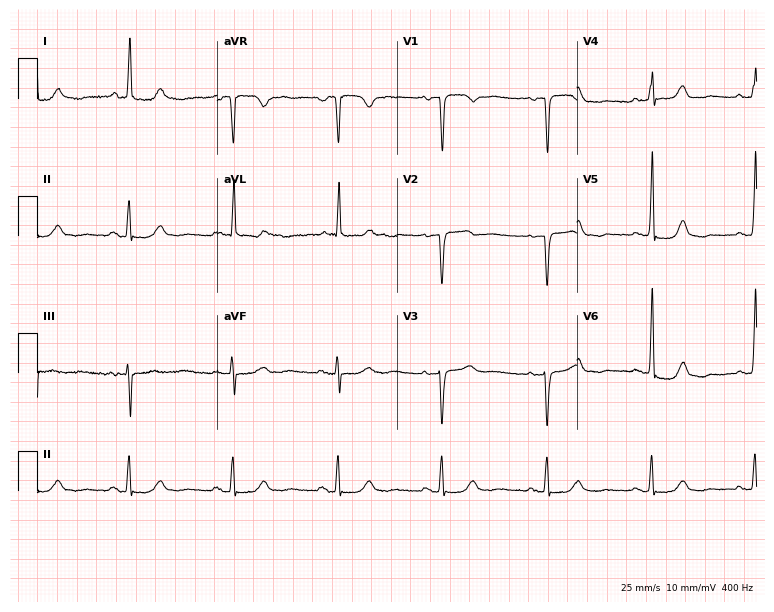
12-lead ECG (7.3-second recording at 400 Hz) from a 79-year-old woman. Screened for six findings — first-degree AV block, right bundle branch block, left bundle branch block, sinus bradycardia, atrial fibrillation, sinus tachycardia — none is recorded. Only these six findings were labelled.